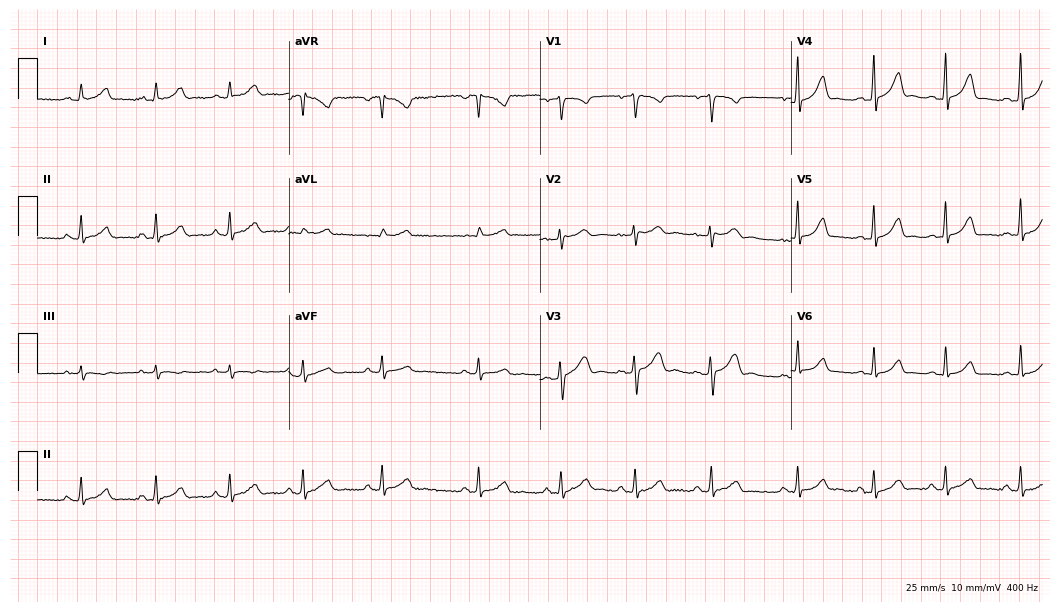
Resting 12-lead electrocardiogram (10.2-second recording at 400 Hz). Patient: a 27-year-old female. Read as a normal ECG.